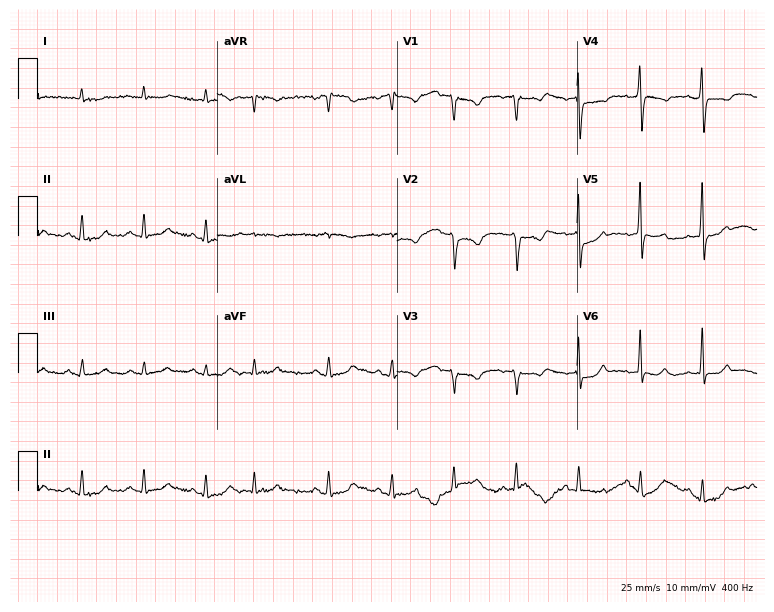
12-lead ECG (7.3-second recording at 400 Hz) from a male patient, 83 years old. Screened for six findings — first-degree AV block, right bundle branch block, left bundle branch block, sinus bradycardia, atrial fibrillation, sinus tachycardia — none is recorded.